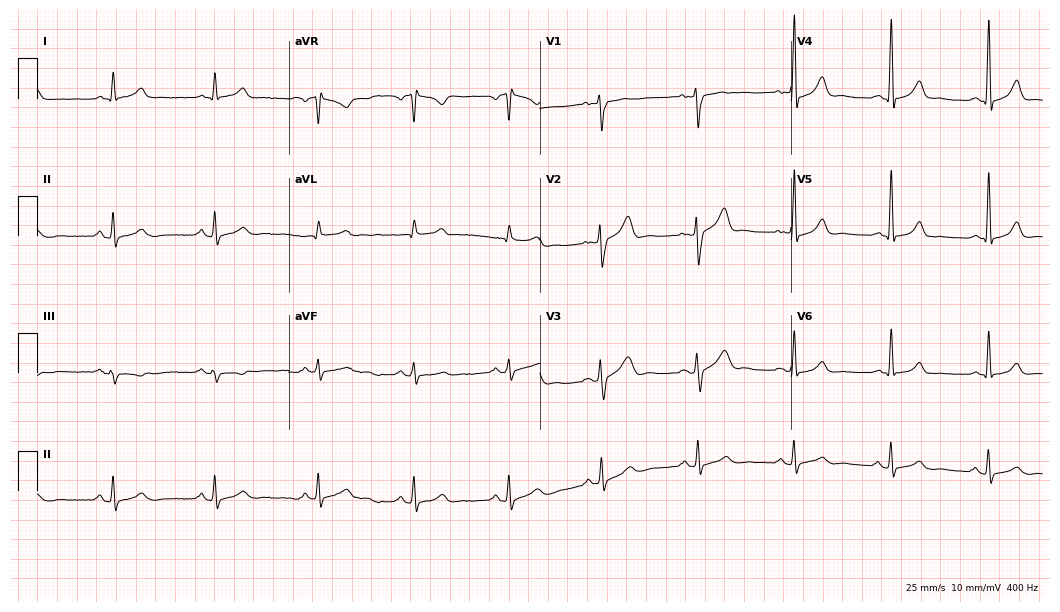
ECG — a 30-year-old male patient. Screened for six findings — first-degree AV block, right bundle branch block (RBBB), left bundle branch block (LBBB), sinus bradycardia, atrial fibrillation (AF), sinus tachycardia — none is recorded.